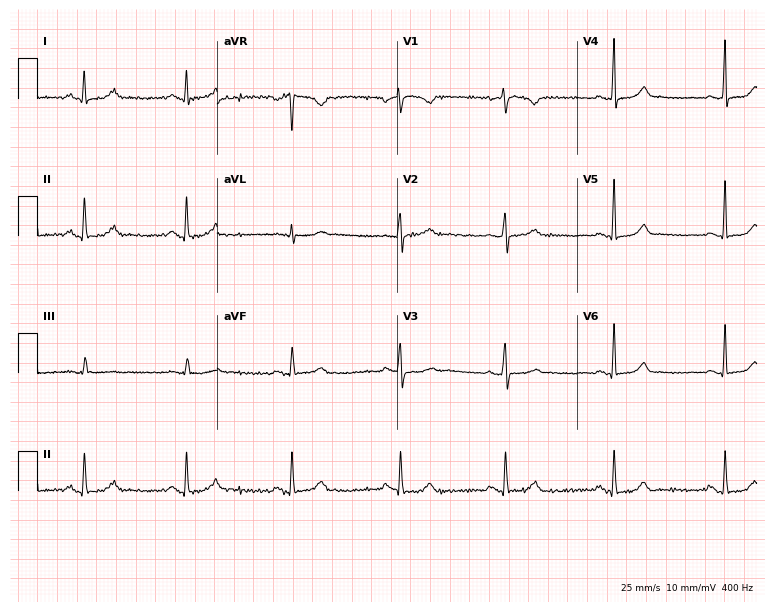
12-lead ECG from a female patient, 38 years old (7.3-second recording at 400 Hz). Recorded interpretation: within normal limits.